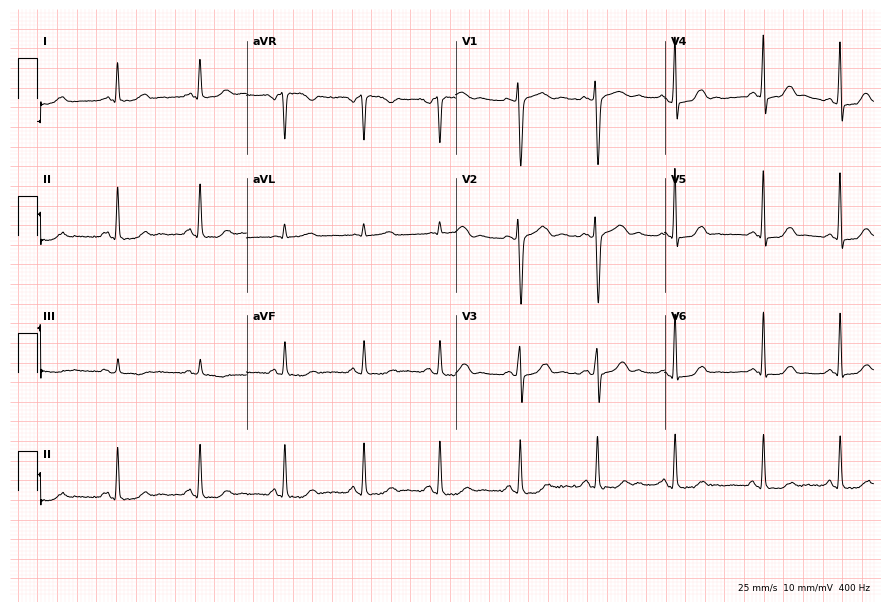
12-lead ECG (8.5-second recording at 400 Hz) from a 32-year-old female patient. Screened for six findings — first-degree AV block, right bundle branch block, left bundle branch block, sinus bradycardia, atrial fibrillation, sinus tachycardia — none is recorded. Other findings, if any, are not listed.